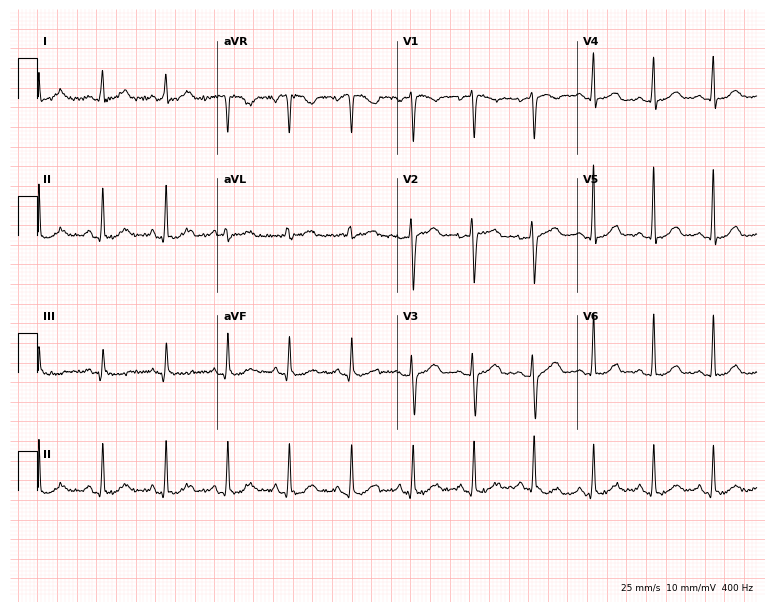
Resting 12-lead electrocardiogram. Patient: a 38-year-old female. Read as a normal ECG.